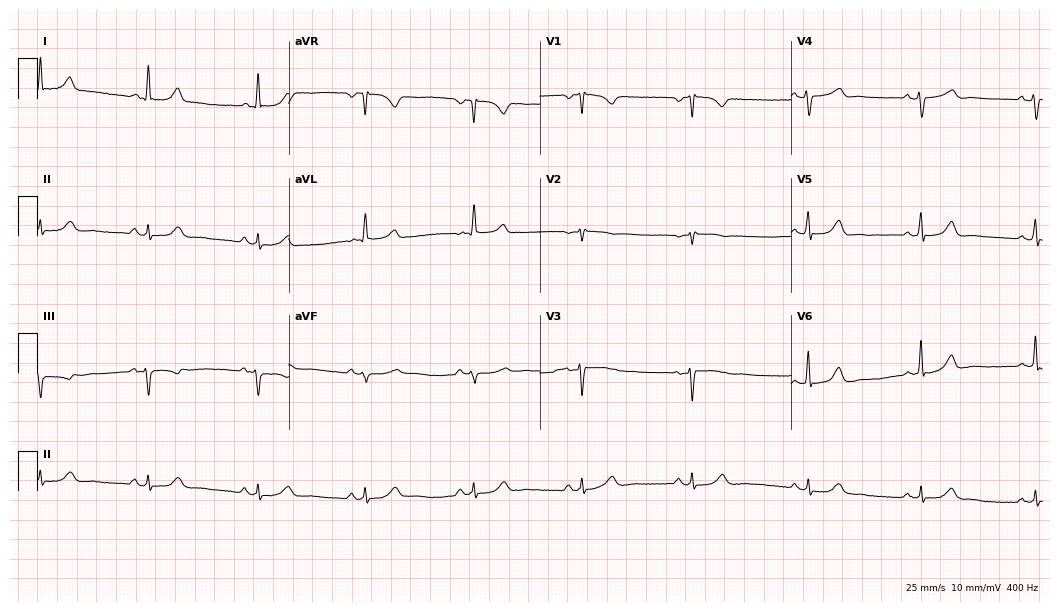
12-lead ECG from a 60-year-old woman (10.2-second recording at 400 Hz). No first-degree AV block, right bundle branch block, left bundle branch block, sinus bradycardia, atrial fibrillation or sinus tachycardia recorded for this tracing.